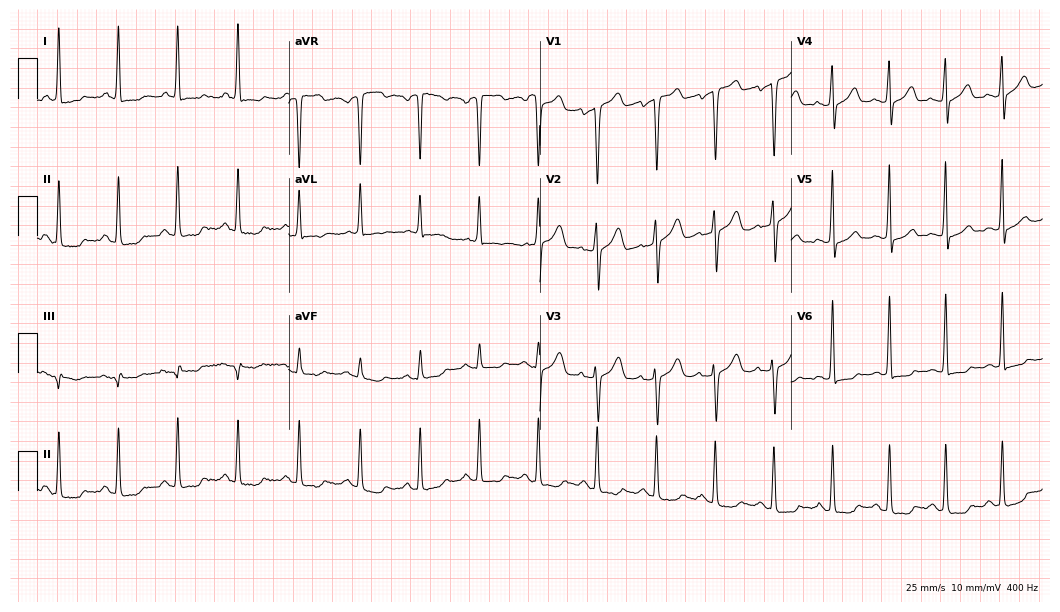
ECG — a 67-year-old female patient. Screened for six findings — first-degree AV block, right bundle branch block, left bundle branch block, sinus bradycardia, atrial fibrillation, sinus tachycardia — none is recorded.